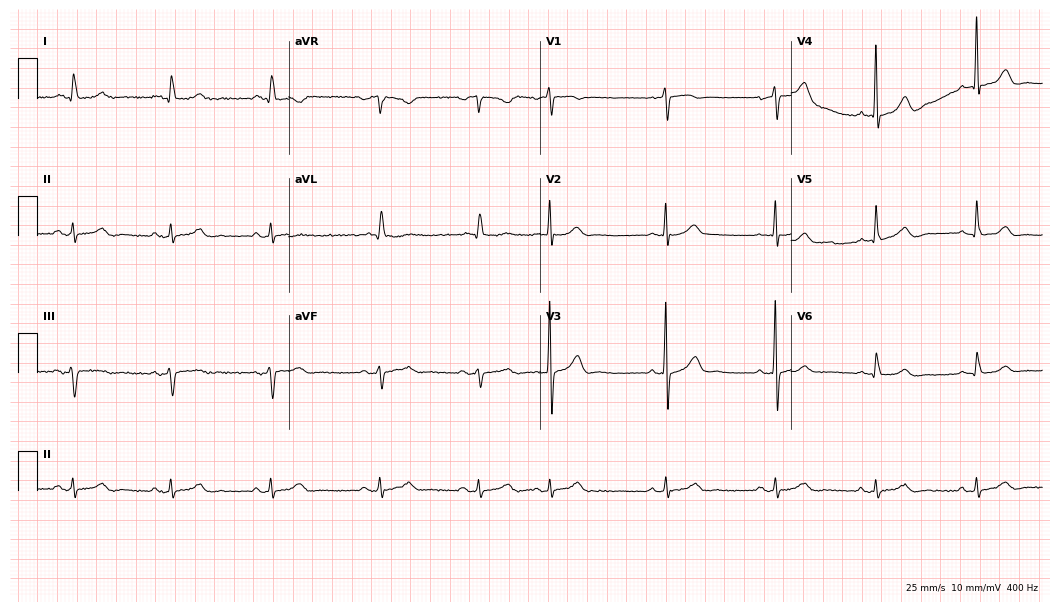
12-lead ECG from an 81-year-old male (10.2-second recording at 400 Hz). No first-degree AV block, right bundle branch block, left bundle branch block, sinus bradycardia, atrial fibrillation or sinus tachycardia recorded for this tracing. Findings outside these six are not listed.